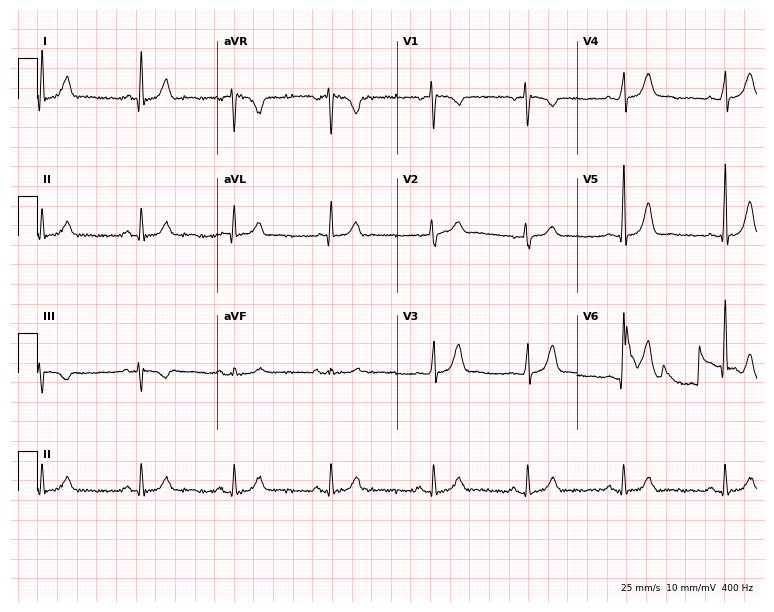
ECG — a 39-year-old female patient. Labelled as a normal ECG.